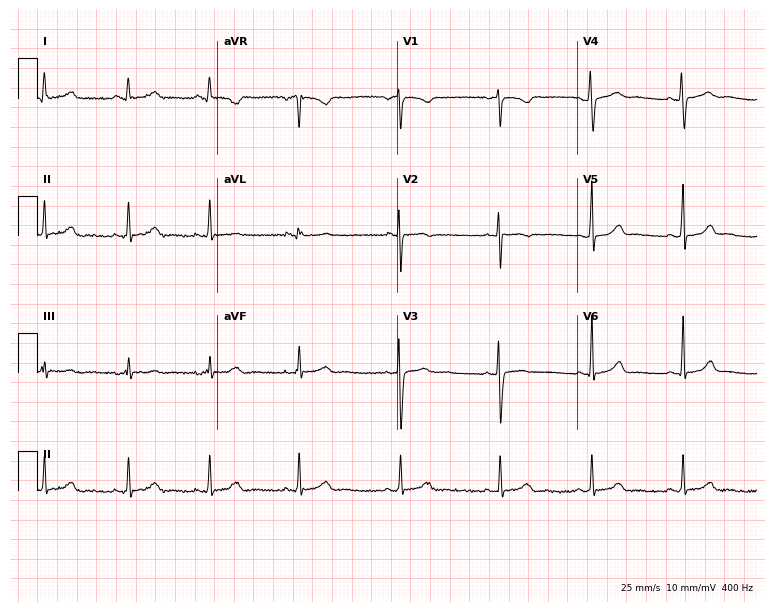
12-lead ECG (7.3-second recording at 400 Hz) from a female patient, 26 years old. Labelled as a normal ECG.